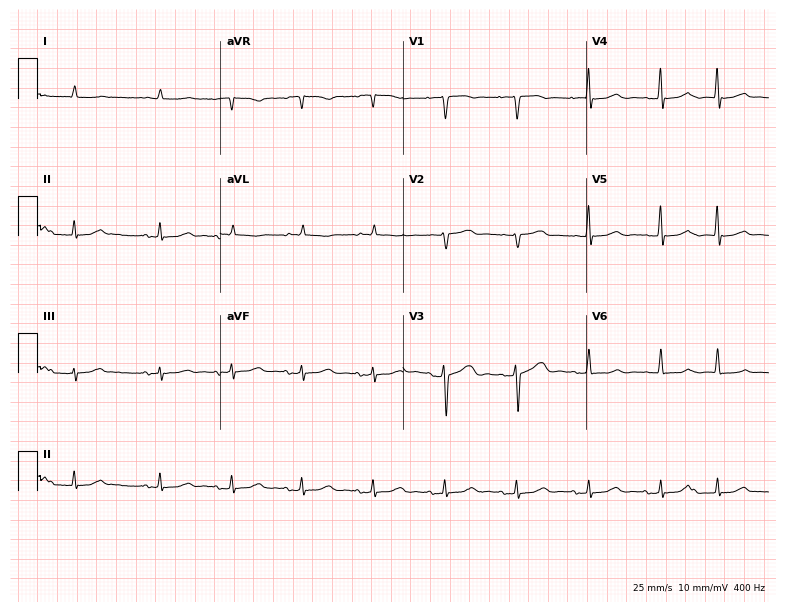
Resting 12-lead electrocardiogram. Patient: a male, 74 years old. None of these six findings is recorded: first-degree AV block, right bundle branch block, left bundle branch block, sinus bradycardia, atrial fibrillation, sinus tachycardia. Other findings, if any, are not listed.